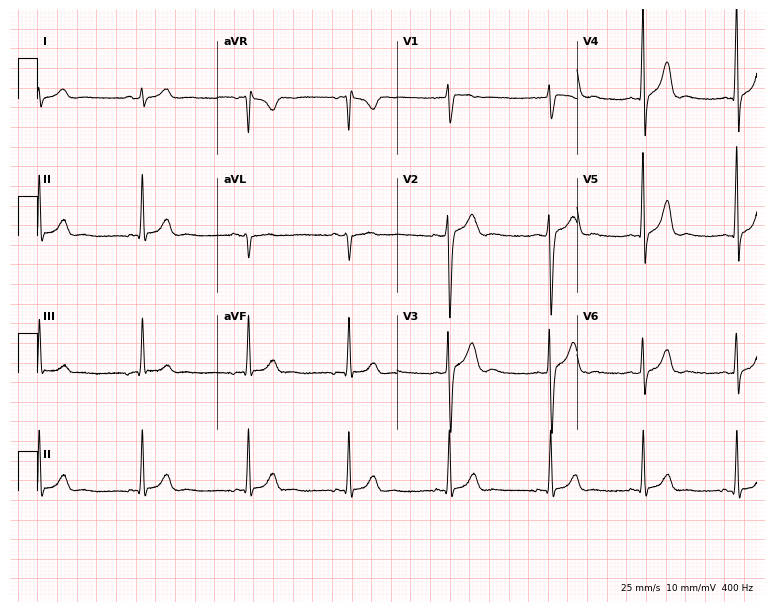
Resting 12-lead electrocardiogram. Patient: an 18-year-old male. None of these six findings is recorded: first-degree AV block, right bundle branch block, left bundle branch block, sinus bradycardia, atrial fibrillation, sinus tachycardia.